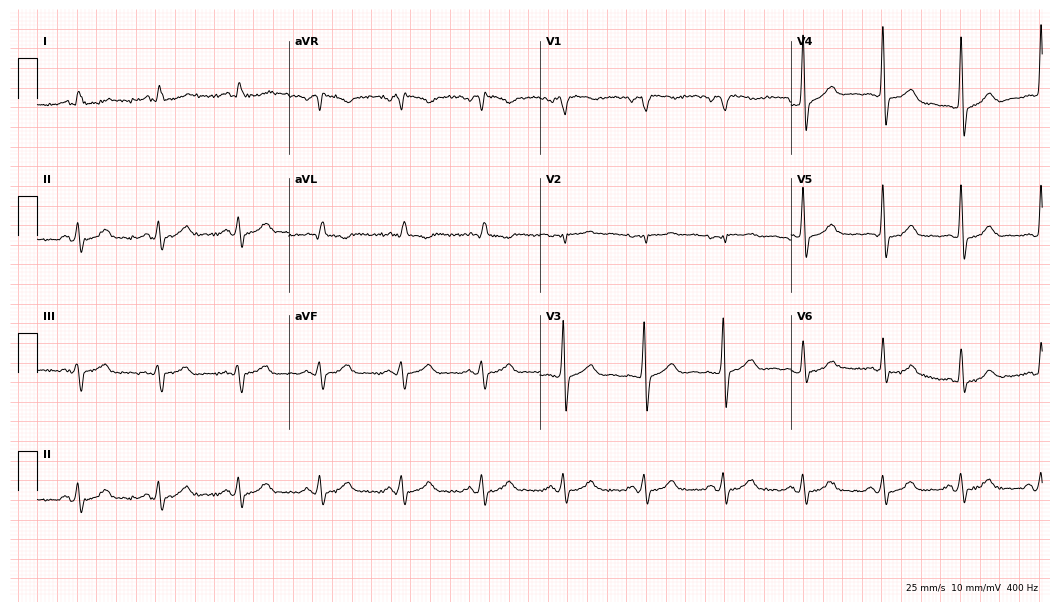
12-lead ECG from a man, 44 years old. Screened for six findings — first-degree AV block, right bundle branch block, left bundle branch block, sinus bradycardia, atrial fibrillation, sinus tachycardia — none is recorded.